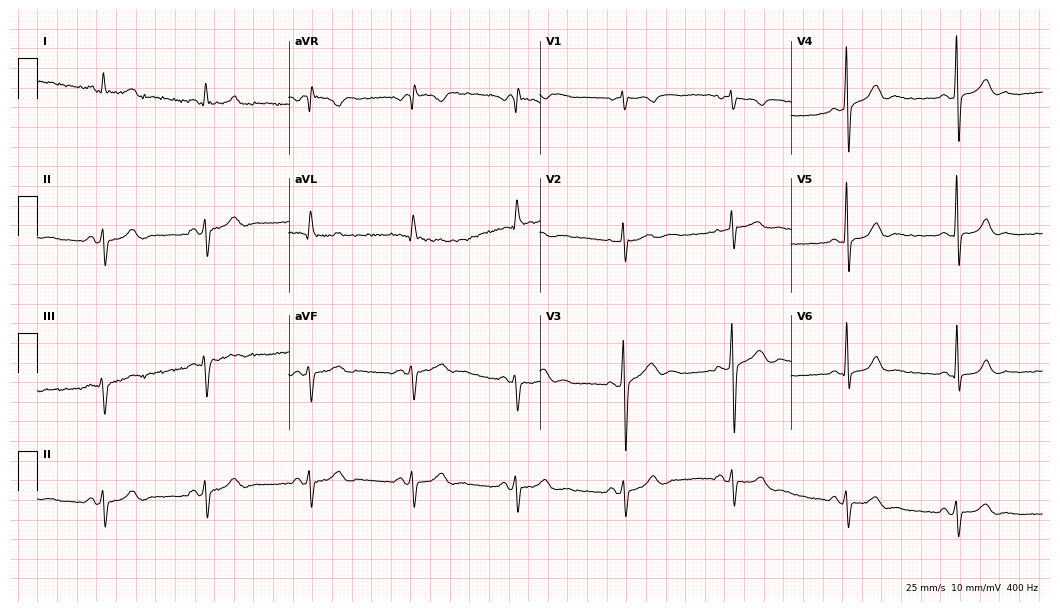
Electrocardiogram, a man, 55 years old. Of the six screened findings (first-degree AV block, right bundle branch block (RBBB), left bundle branch block (LBBB), sinus bradycardia, atrial fibrillation (AF), sinus tachycardia), none is recorded. Only these six findings were labelled.